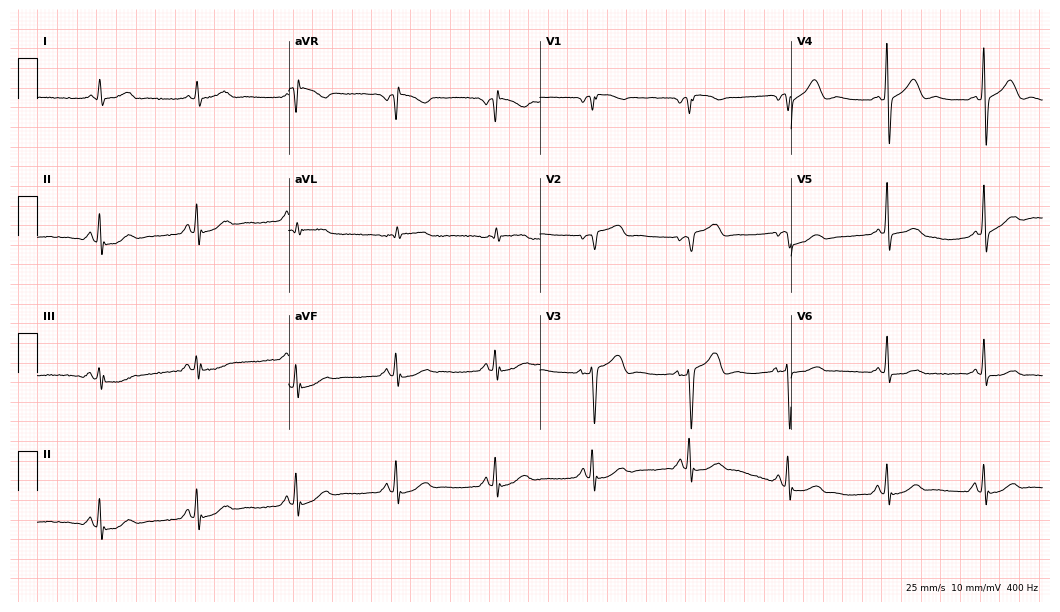
Standard 12-lead ECG recorded from a 63-year-old woman (10.2-second recording at 400 Hz). None of these six findings is recorded: first-degree AV block, right bundle branch block (RBBB), left bundle branch block (LBBB), sinus bradycardia, atrial fibrillation (AF), sinus tachycardia.